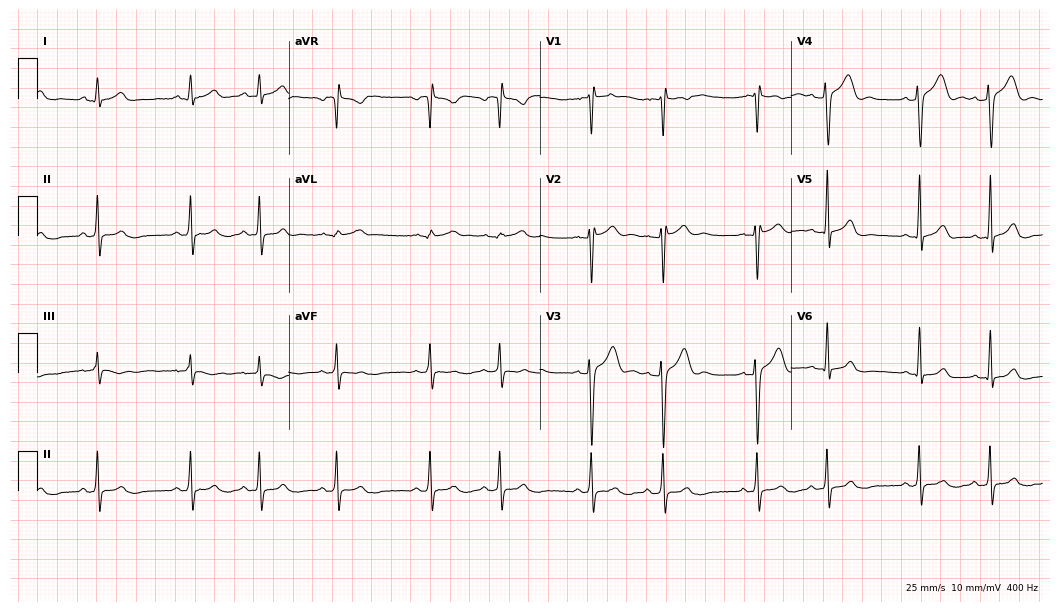
Standard 12-lead ECG recorded from a 22-year-old male (10.2-second recording at 400 Hz). None of these six findings is recorded: first-degree AV block, right bundle branch block (RBBB), left bundle branch block (LBBB), sinus bradycardia, atrial fibrillation (AF), sinus tachycardia. Only these six findings were labelled.